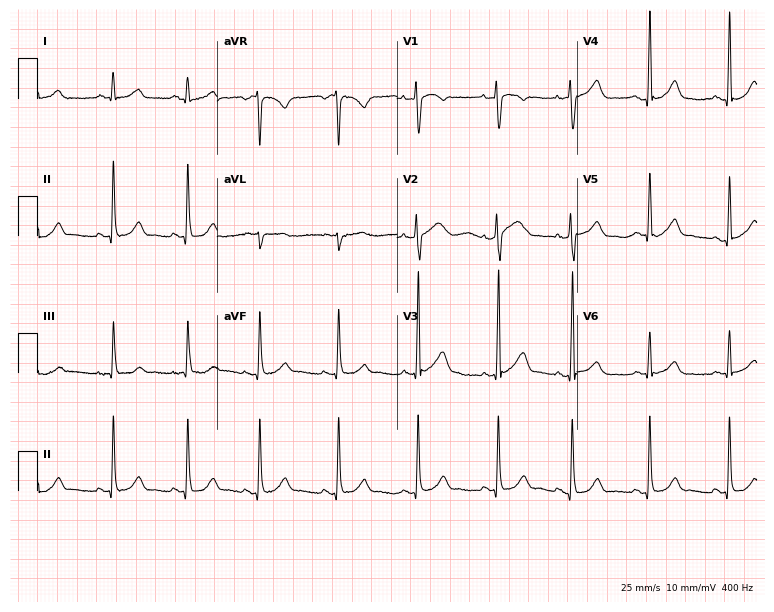
12-lead ECG from a 26-year-old female (7.3-second recording at 400 Hz). No first-degree AV block, right bundle branch block, left bundle branch block, sinus bradycardia, atrial fibrillation or sinus tachycardia recorded for this tracing.